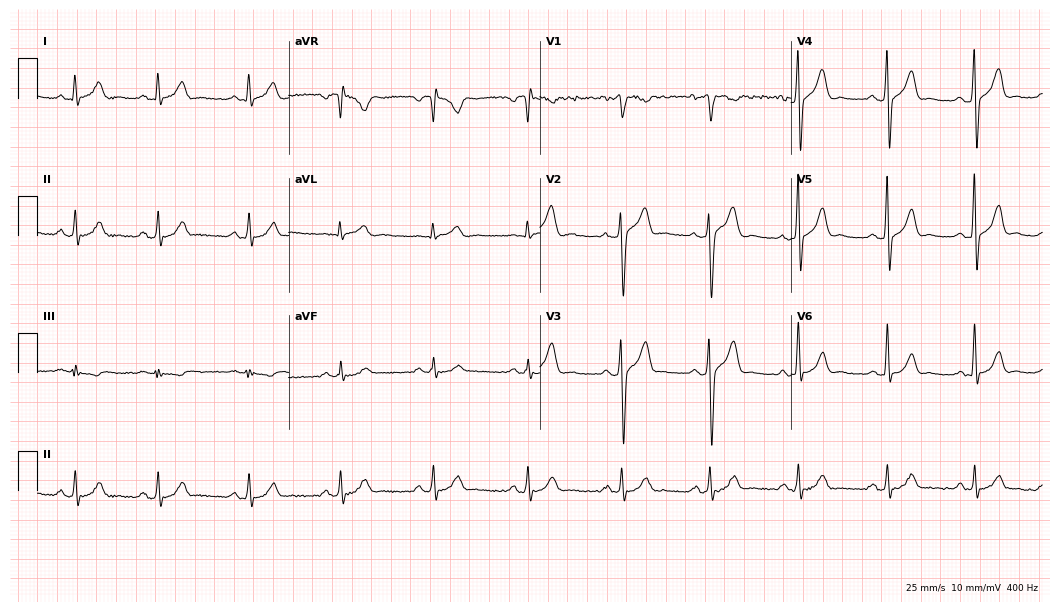
12-lead ECG from a male patient, 48 years old. Labelled as a normal ECG.